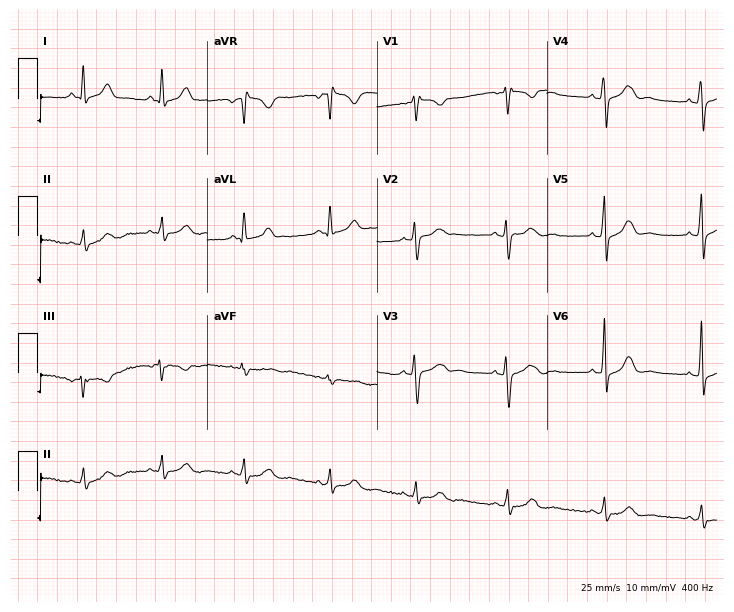
ECG — a 19-year-old man. Screened for six findings — first-degree AV block, right bundle branch block (RBBB), left bundle branch block (LBBB), sinus bradycardia, atrial fibrillation (AF), sinus tachycardia — none is recorded. Other findings, if any, are not listed.